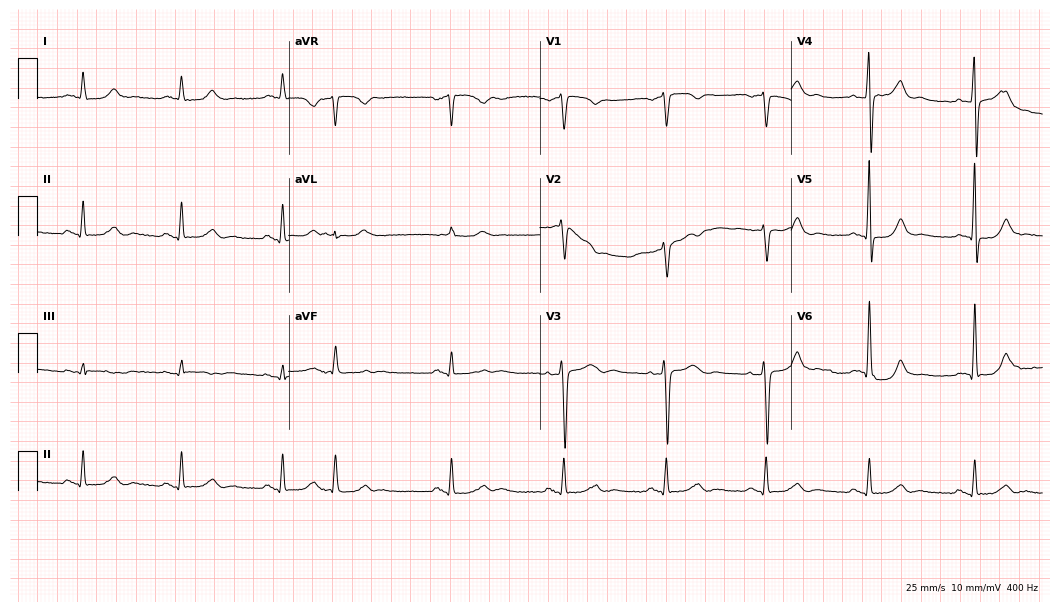
Resting 12-lead electrocardiogram. Patient: a man, 61 years old. None of these six findings is recorded: first-degree AV block, right bundle branch block (RBBB), left bundle branch block (LBBB), sinus bradycardia, atrial fibrillation (AF), sinus tachycardia.